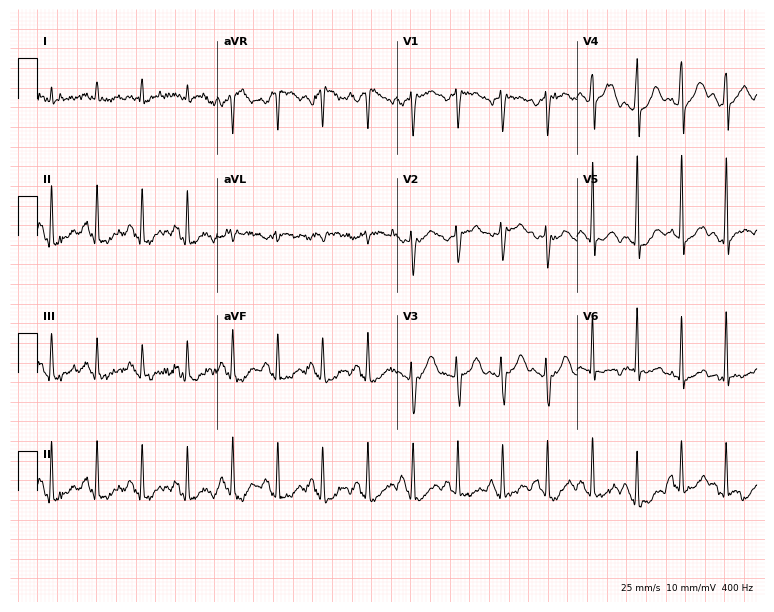
Resting 12-lead electrocardiogram (7.3-second recording at 400 Hz). Patient: a male, 51 years old. The tracing shows sinus tachycardia (a sinus rate of 100 beats per minute or more).